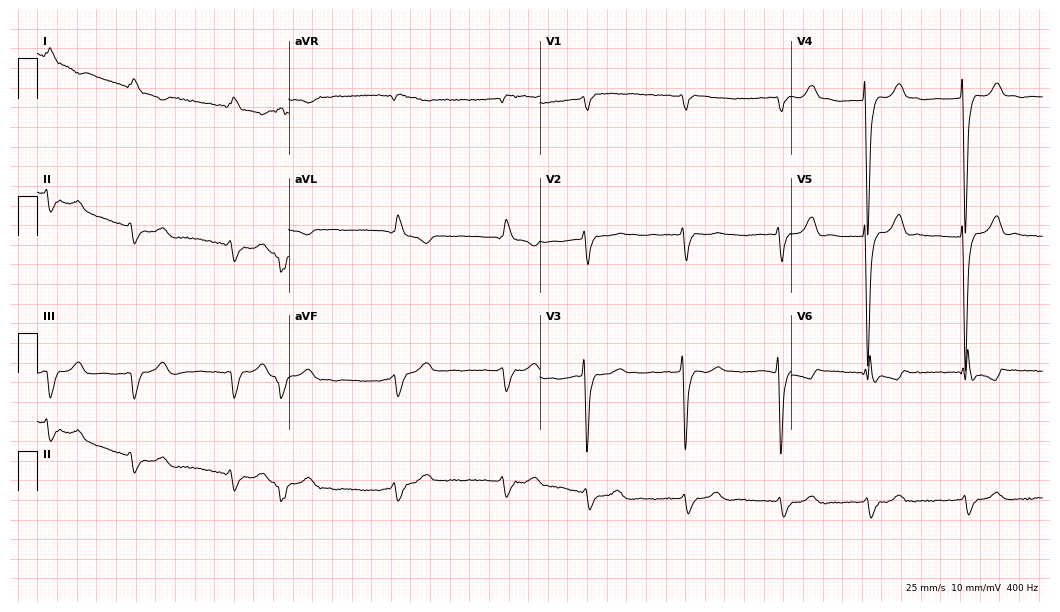
Standard 12-lead ECG recorded from an 82-year-old male patient. None of these six findings is recorded: first-degree AV block, right bundle branch block, left bundle branch block, sinus bradycardia, atrial fibrillation, sinus tachycardia.